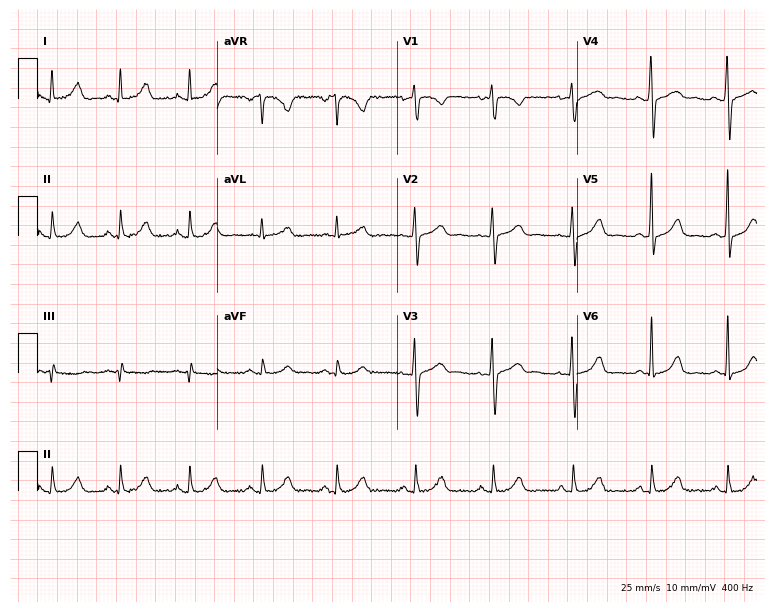
ECG — a female, 40 years old. Labelled as a normal ECG.